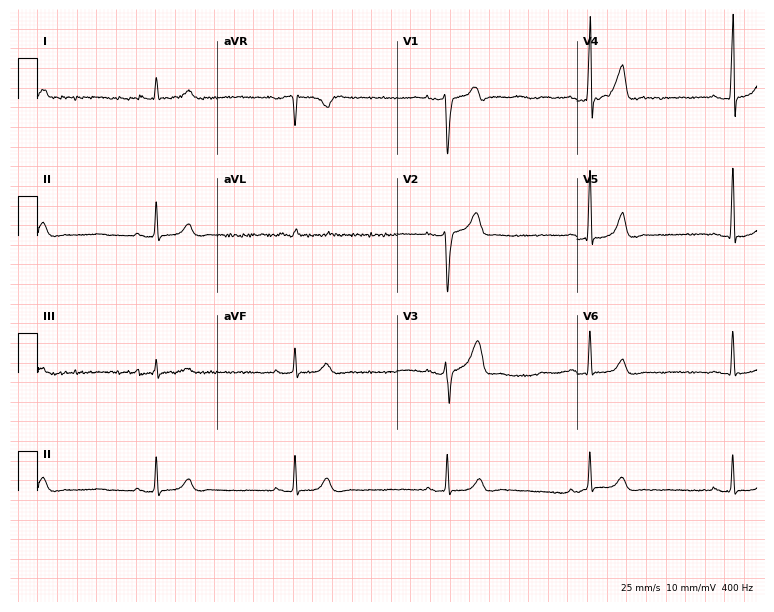
ECG — a man, 45 years old. Findings include sinus bradycardia (a sinus rate of 50 beats per minute or less).